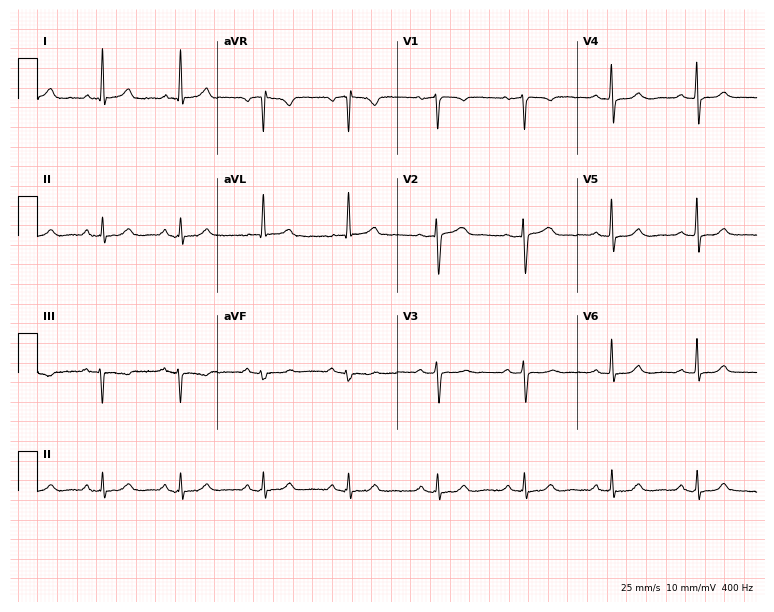
ECG (7.3-second recording at 400 Hz) — a female patient, 74 years old. Labelled as a normal ECG.